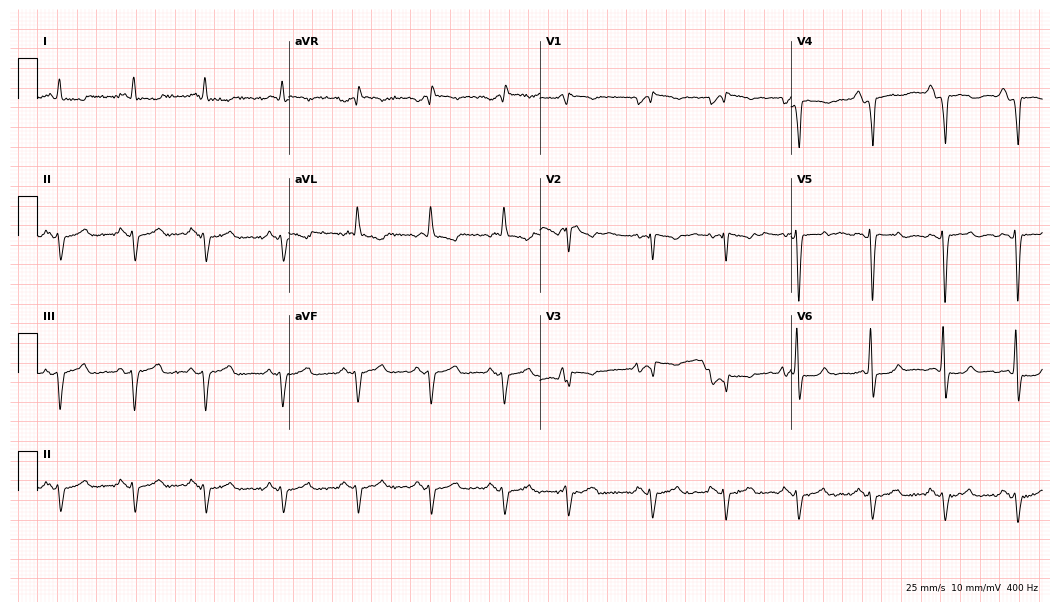
ECG (10.2-second recording at 400 Hz) — an 82-year-old male. Screened for six findings — first-degree AV block, right bundle branch block, left bundle branch block, sinus bradycardia, atrial fibrillation, sinus tachycardia — none is recorded. Only these six findings were labelled.